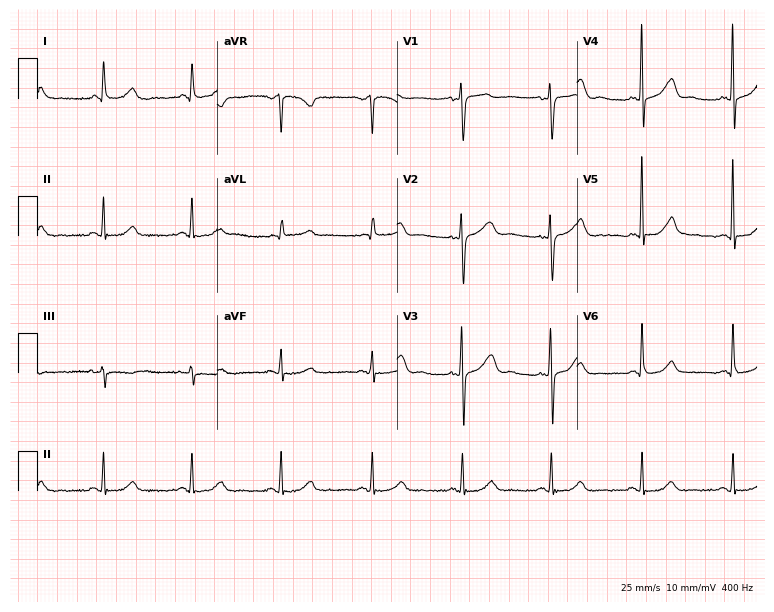
ECG (7.3-second recording at 400 Hz) — a woman, 69 years old. Screened for six findings — first-degree AV block, right bundle branch block, left bundle branch block, sinus bradycardia, atrial fibrillation, sinus tachycardia — none is recorded.